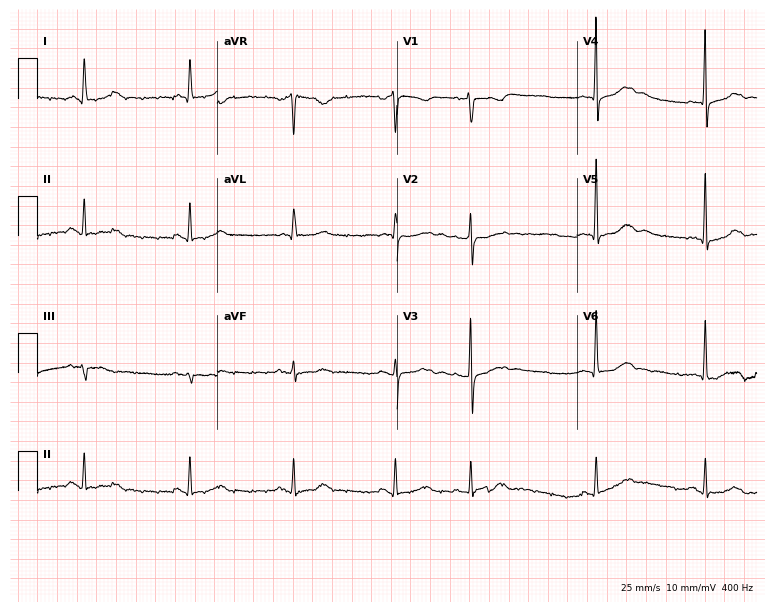
Standard 12-lead ECG recorded from a female, 80 years old. None of these six findings is recorded: first-degree AV block, right bundle branch block, left bundle branch block, sinus bradycardia, atrial fibrillation, sinus tachycardia.